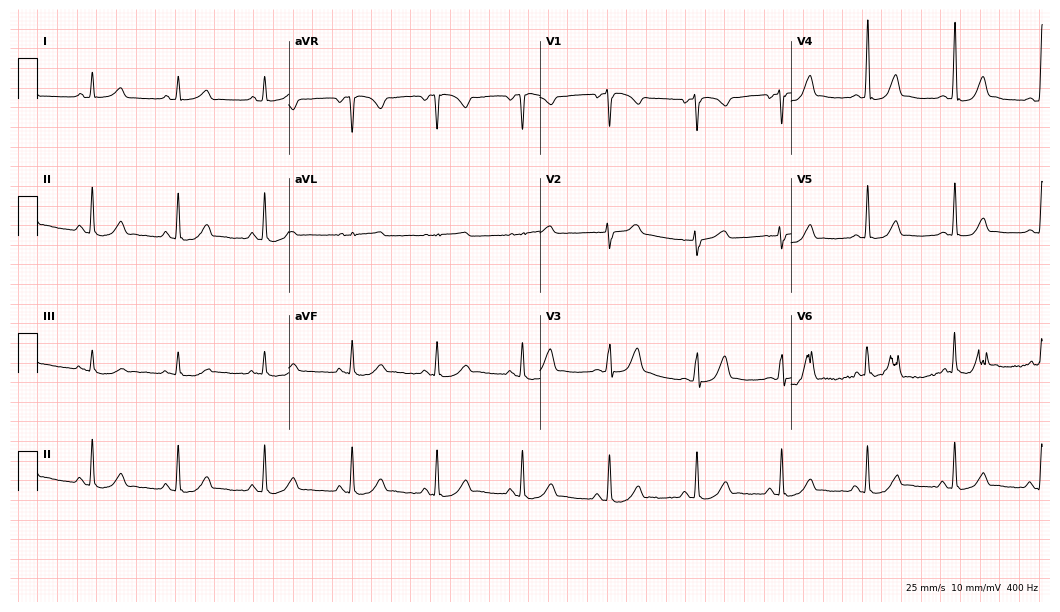
Electrocardiogram, a female patient, 38 years old. Of the six screened findings (first-degree AV block, right bundle branch block (RBBB), left bundle branch block (LBBB), sinus bradycardia, atrial fibrillation (AF), sinus tachycardia), none is recorded.